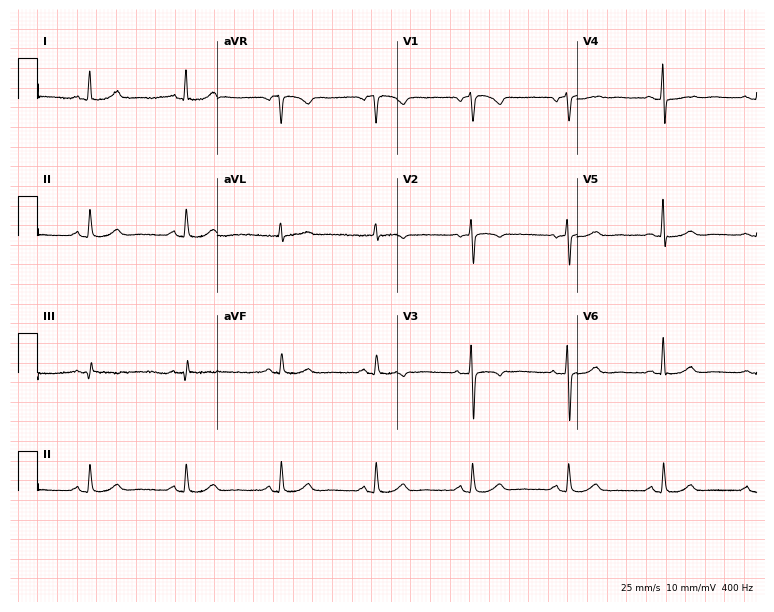
ECG (7.3-second recording at 400 Hz) — a female patient, 70 years old. Screened for six findings — first-degree AV block, right bundle branch block (RBBB), left bundle branch block (LBBB), sinus bradycardia, atrial fibrillation (AF), sinus tachycardia — none is recorded.